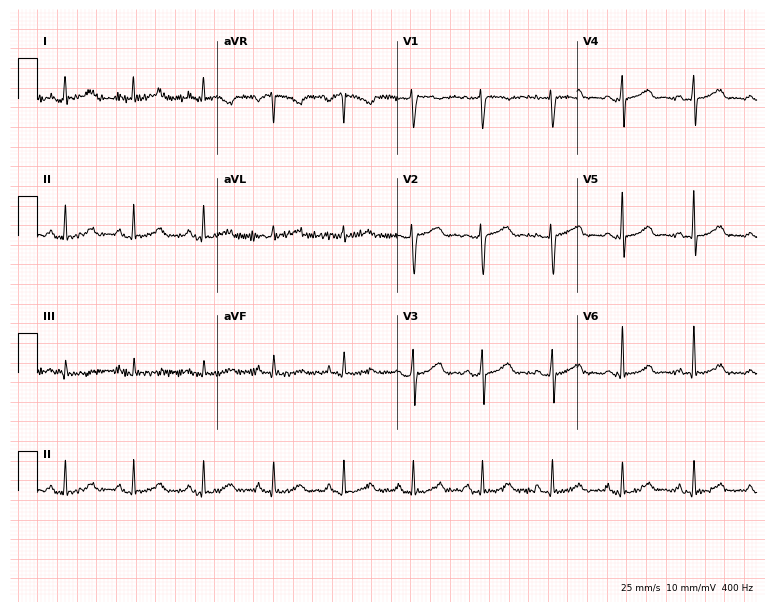
12-lead ECG (7.3-second recording at 400 Hz) from a 53-year-old woman. Screened for six findings — first-degree AV block, right bundle branch block (RBBB), left bundle branch block (LBBB), sinus bradycardia, atrial fibrillation (AF), sinus tachycardia — none is recorded. Only these six findings were labelled.